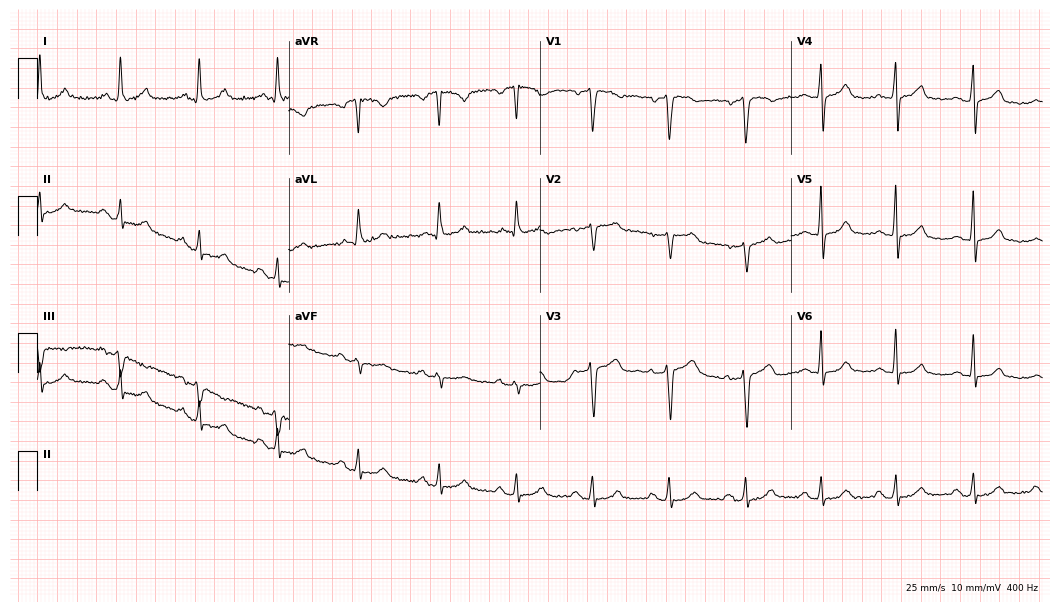
12-lead ECG from a 55-year-old woman (10.2-second recording at 400 Hz). No first-degree AV block, right bundle branch block (RBBB), left bundle branch block (LBBB), sinus bradycardia, atrial fibrillation (AF) or sinus tachycardia recorded for this tracing.